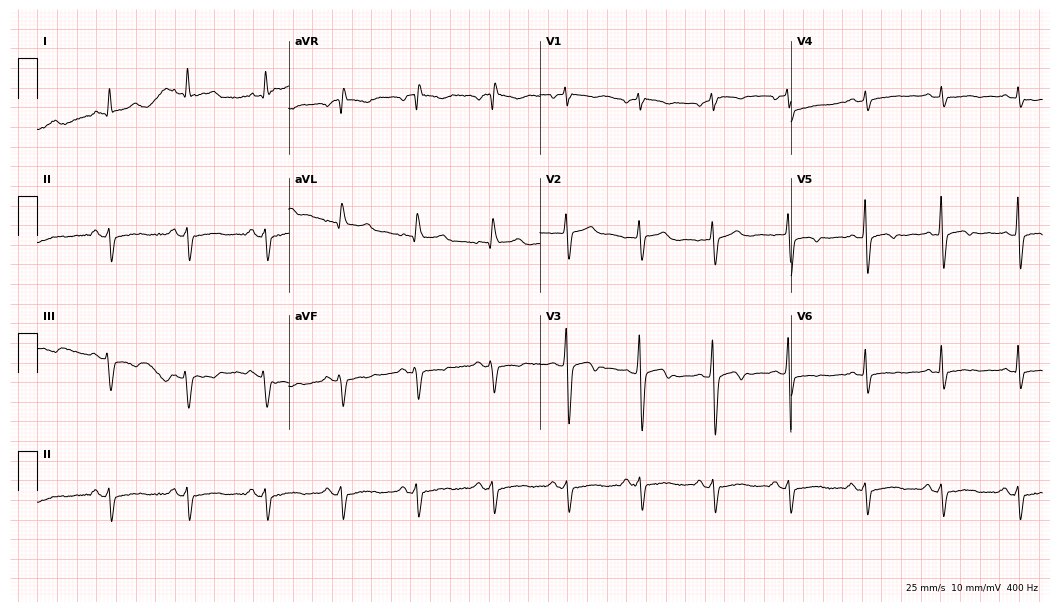
Resting 12-lead electrocardiogram (10.2-second recording at 400 Hz). Patient: a 66-year-old male. None of these six findings is recorded: first-degree AV block, right bundle branch block, left bundle branch block, sinus bradycardia, atrial fibrillation, sinus tachycardia. Other findings, if any, are not listed.